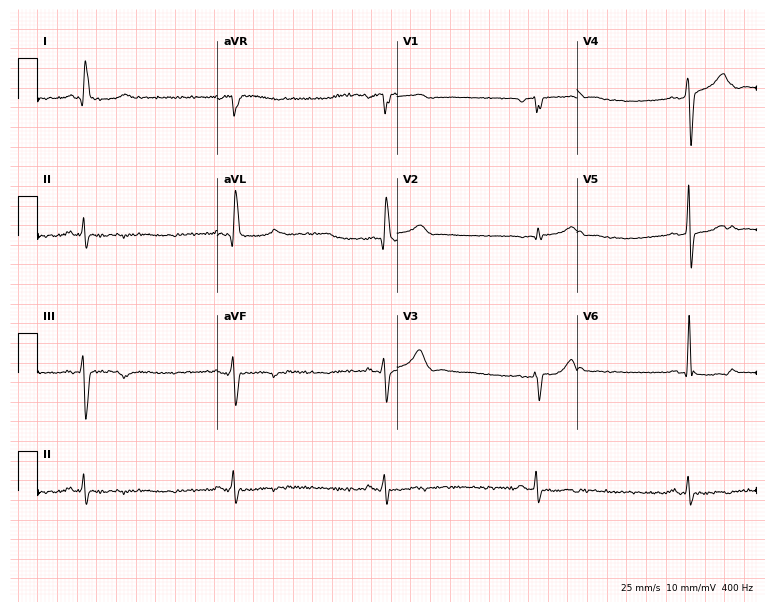
12-lead ECG from a 67-year-old male patient. Findings include sinus bradycardia (a sinus rate of 50 beats per minute or less).